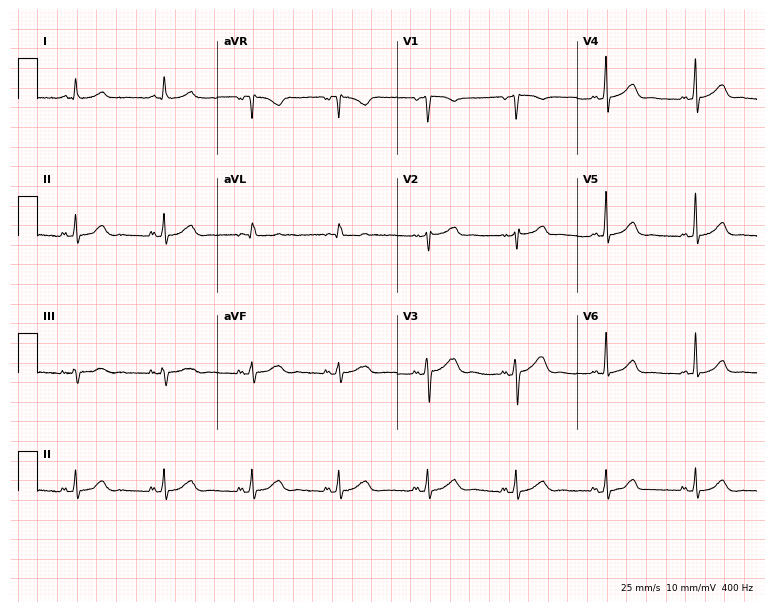
Resting 12-lead electrocardiogram. Patient: a woman, 66 years old. None of these six findings is recorded: first-degree AV block, right bundle branch block, left bundle branch block, sinus bradycardia, atrial fibrillation, sinus tachycardia. Only these six findings were labelled.